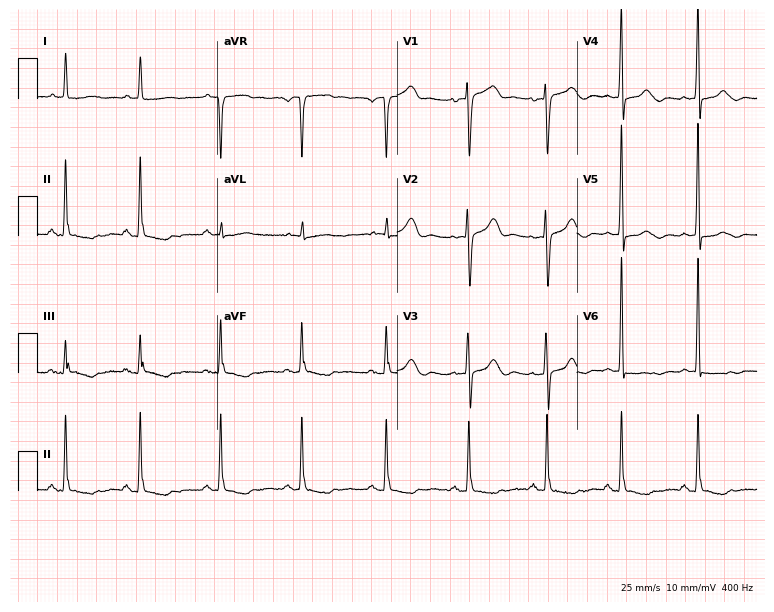
12-lead ECG from a 70-year-old female (7.3-second recording at 400 Hz). Recorded interpretation: within normal limits.